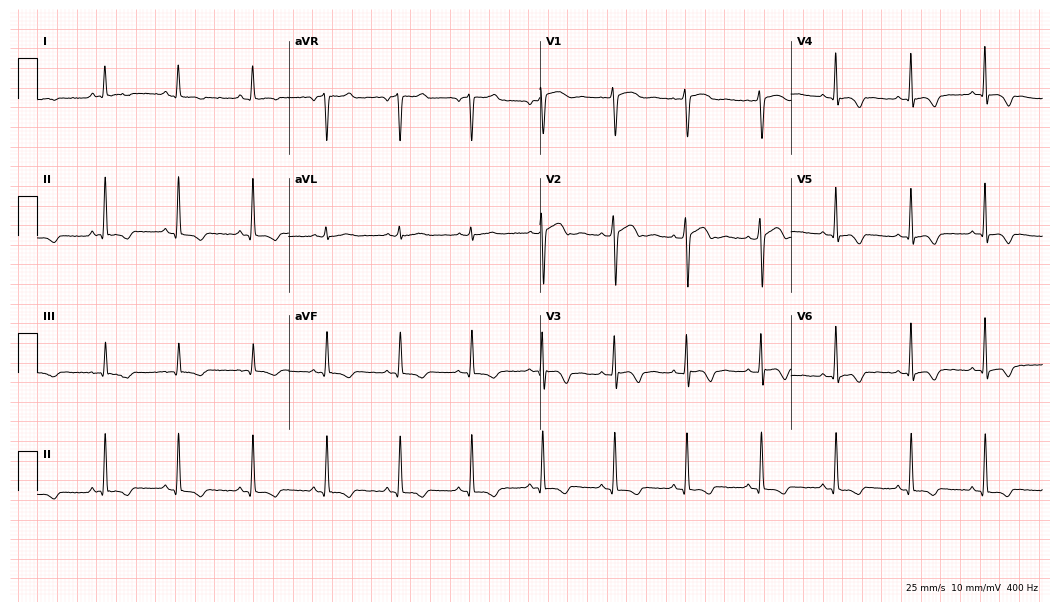
Resting 12-lead electrocardiogram (10.2-second recording at 400 Hz). Patient: a female, 26 years old. None of these six findings is recorded: first-degree AV block, right bundle branch block, left bundle branch block, sinus bradycardia, atrial fibrillation, sinus tachycardia.